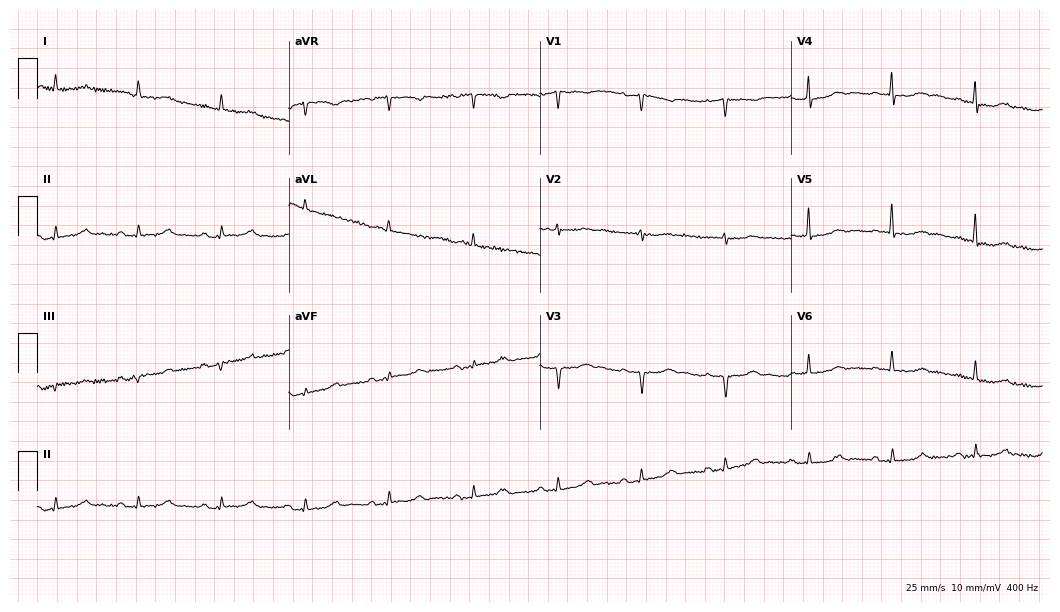
Standard 12-lead ECG recorded from a female patient, 75 years old. None of these six findings is recorded: first-degree AV block, right bundle branch block (RBBB), left bundle branch block (LBBB), sinus bradycardia, atrial fibrillation (AF), sinus tachycardia. Only these six findings were labelled.